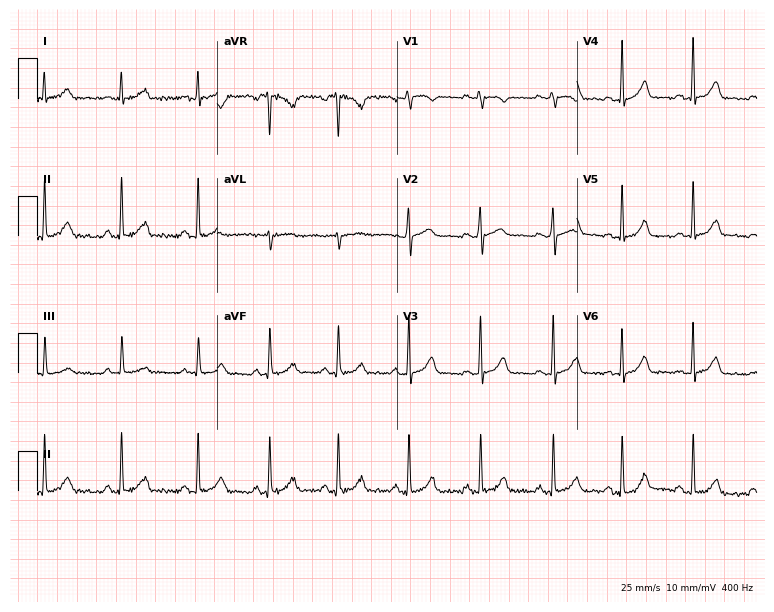
12-lead ECG (7.3-second recording at 400 Hz) from a 31-year-old female. Screened for six findings — first-degree AV block, right bundle branch block, left bundle branch block, sinus bradycardia, atrial fibrillation, sinus tachycardia — none is recorded. Only these six findings were labelled.